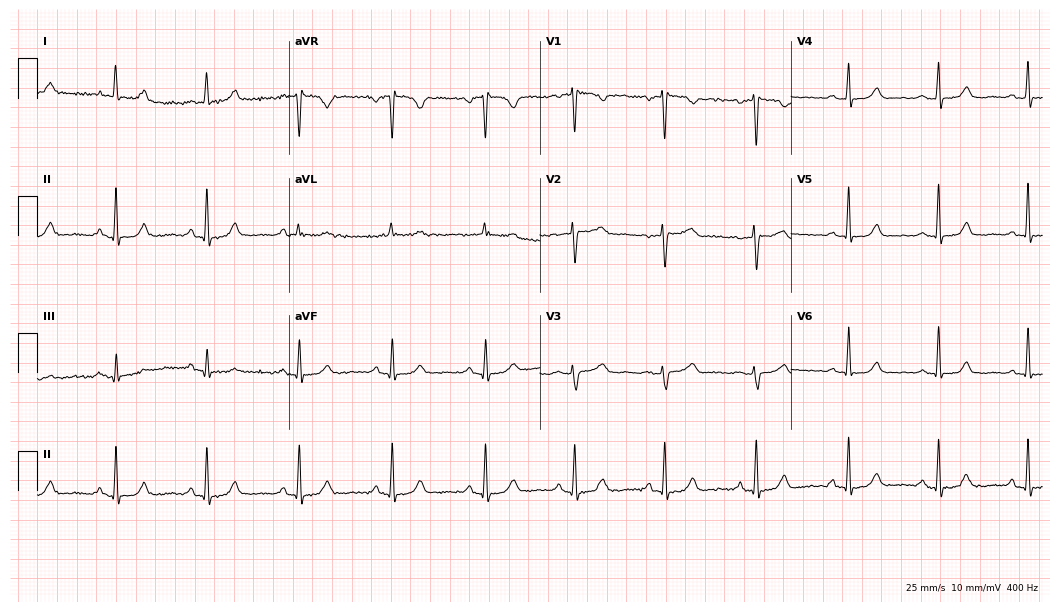
12-lead ECG (10.2-second recording at 400 Hz) from a female patient, 57 years old. Screened for six findings — first-degree AV block, right bundle branch block, left bundle branch block, sinus bradycardia, atrial fibrillation, sinus tachycardia — none is recorded. Only these six findings were labelled.